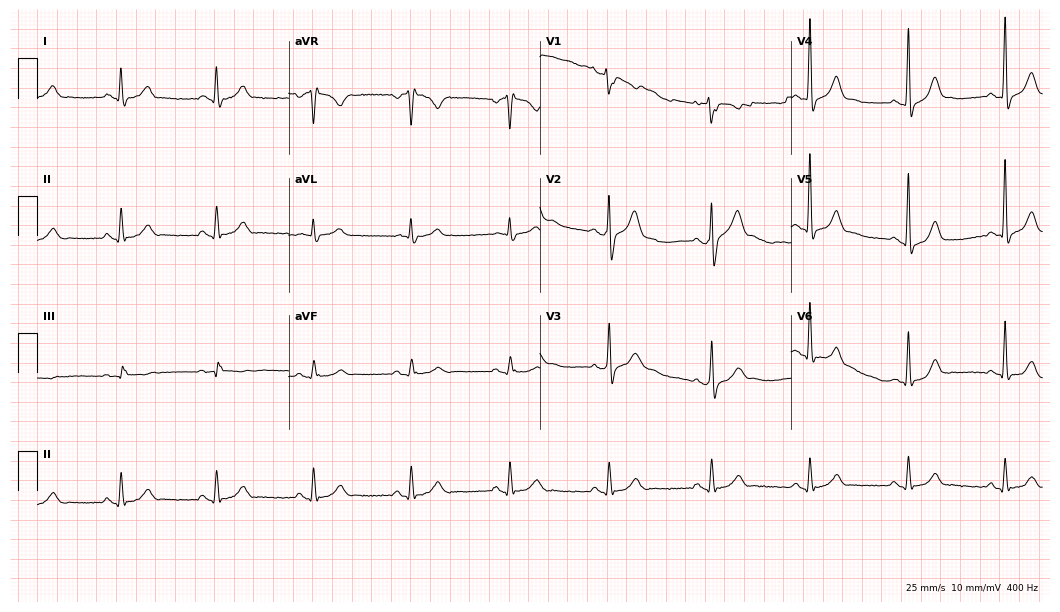
12-lead ECG (10.2-second recording at 400 Hz) from a male patient, 61 years old. Screened for six findings — first-degree AV block, right bundle branch block, left bundle branch block, sinus bradycardia, atrial fibrillation, sinus tachycardia — none is recorded.